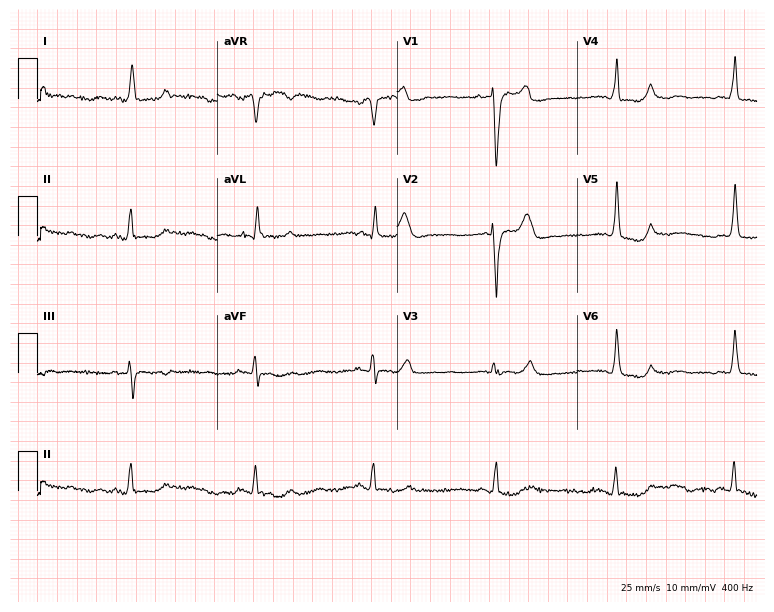
12-lead ECG from a female patient, 72 years old. Shows sinus bradycardia (a sinus rate of 50 beats per minute or less).